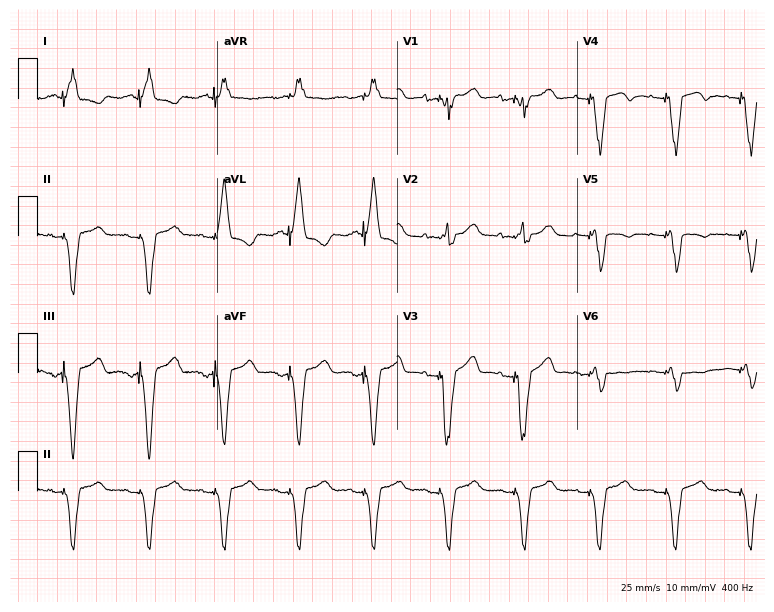
12-lead ECG (7.3-second recording at 400 Hz) from a woman, 72 years old. Screened for six findings — first-degree AV block, right bundle branch block, left bundle branch block, sinus bradycardia, atrial fibrillation, sinus tachycardia — none is recorded.